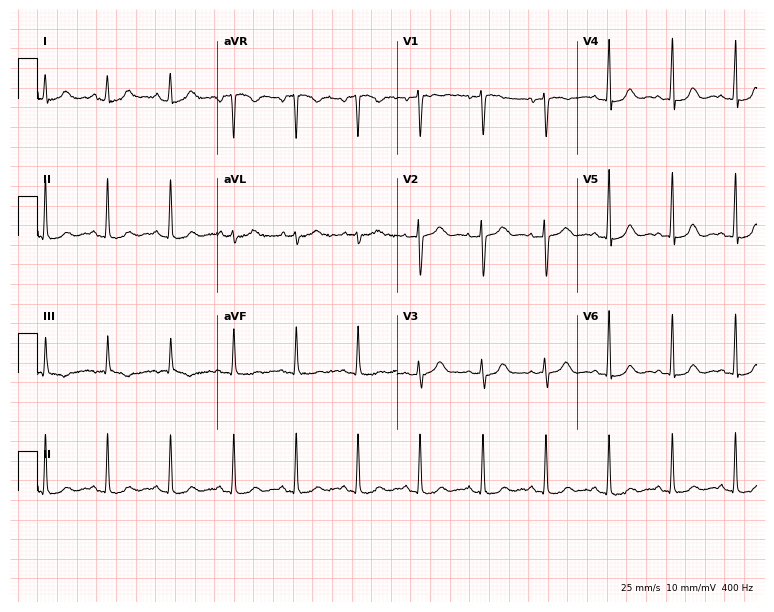
Electrocardiogram, a 43-year-old female. Overall reading on record: normal ECG.